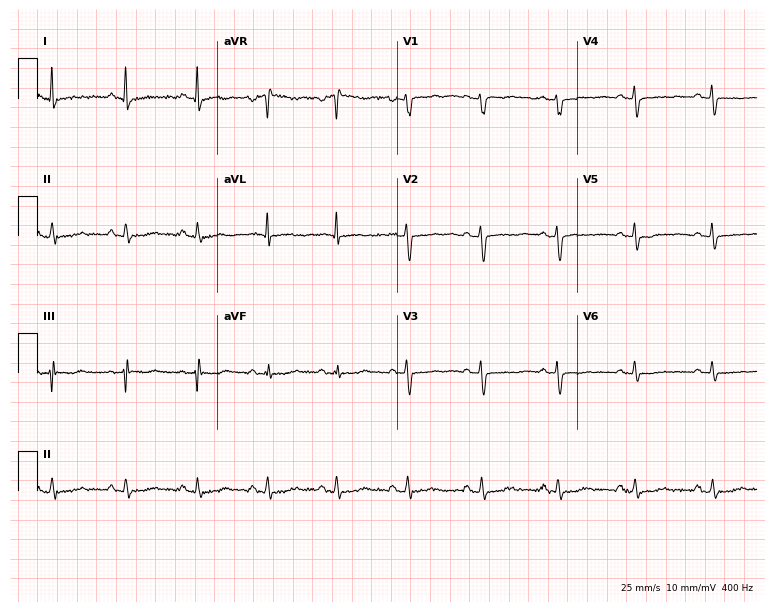
Resting 12-lead electrocardiogram (7.3-second recording at 400 Hz). Patient: a 48-year-old female. Read as a normal ECG.